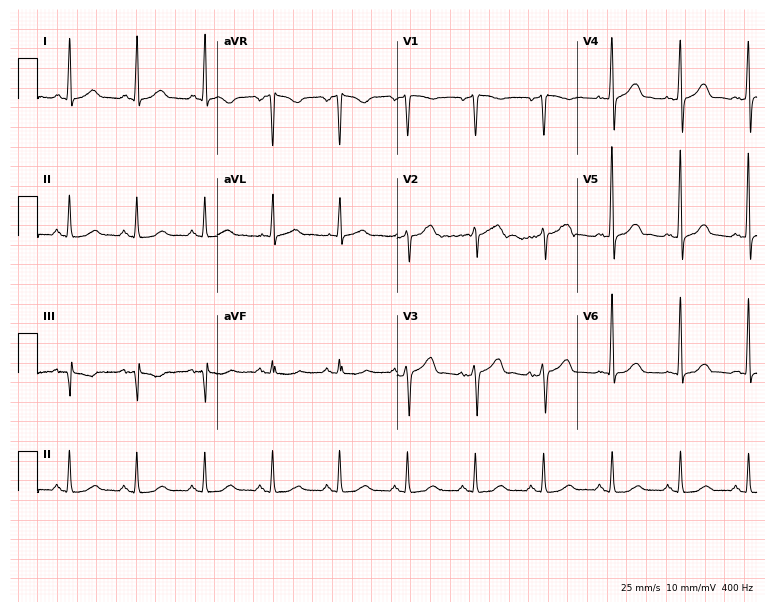
12-lead ECG from a man, 63 years old. Recorded interpretation: within normal limits.